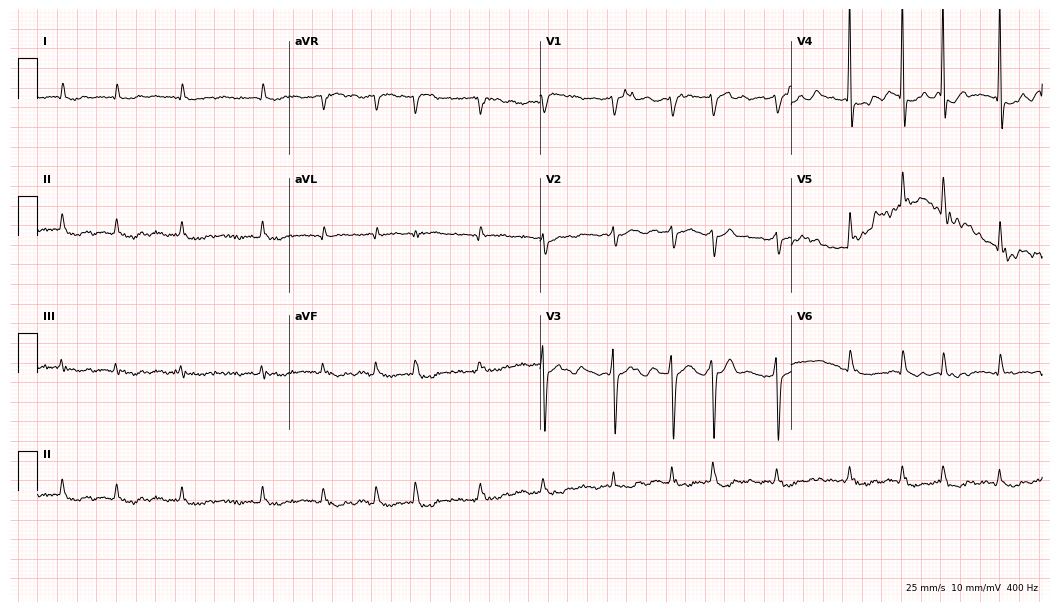
Electrocardiogram, a 70-year-old female. Interpretation includes atrial fibrillation.